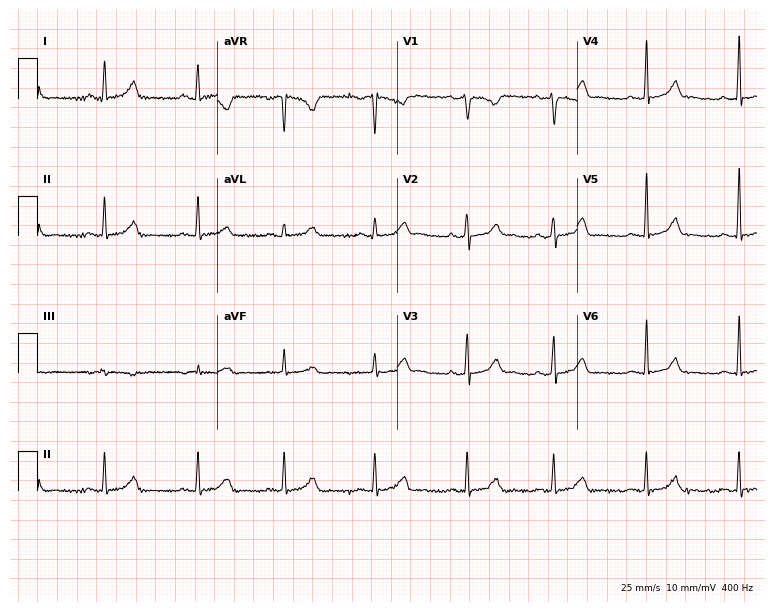
Electrocardiogram (7.3-second recording at 400 Hz), a 33-year-old woman. Of the six screened findings (first-degree AV block, right bundle branch block, left bundle branch block, sinus bradycardia, atrial fibrillation, sinus tachycardia), none is recorded. Other findings, if any, are not listed.